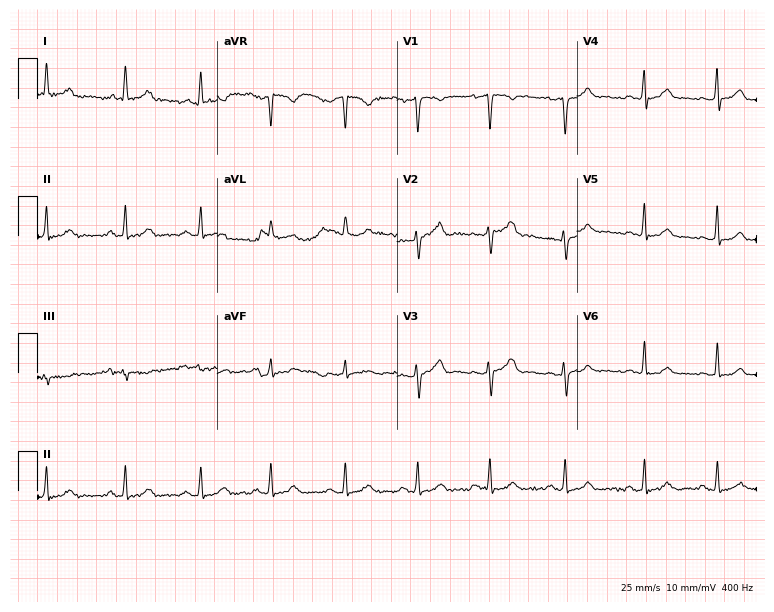
12-lead ECG from a female patient, 37 years old. No first-degree AV block, right bundle branch block, left bundle branch block, sinus bradycardia, atrial fibrillation or sinus tachycardia recorded for this tracing. Only these six findings were labelled.